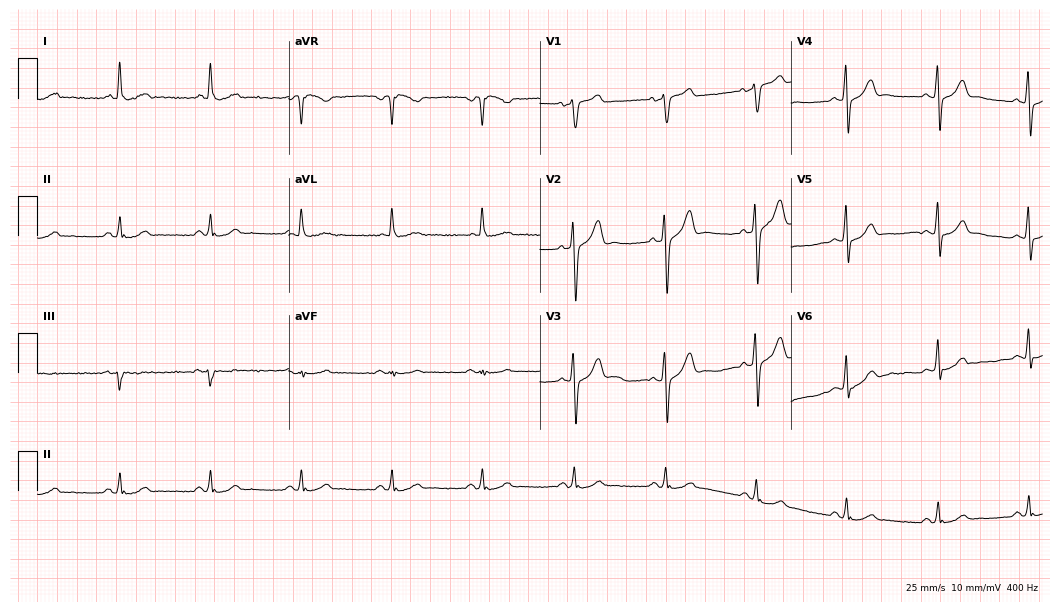
12-lead ECG (10.2-second recording at 400 Hz) from a male, 68 years old. Labelled as a normal ECG.